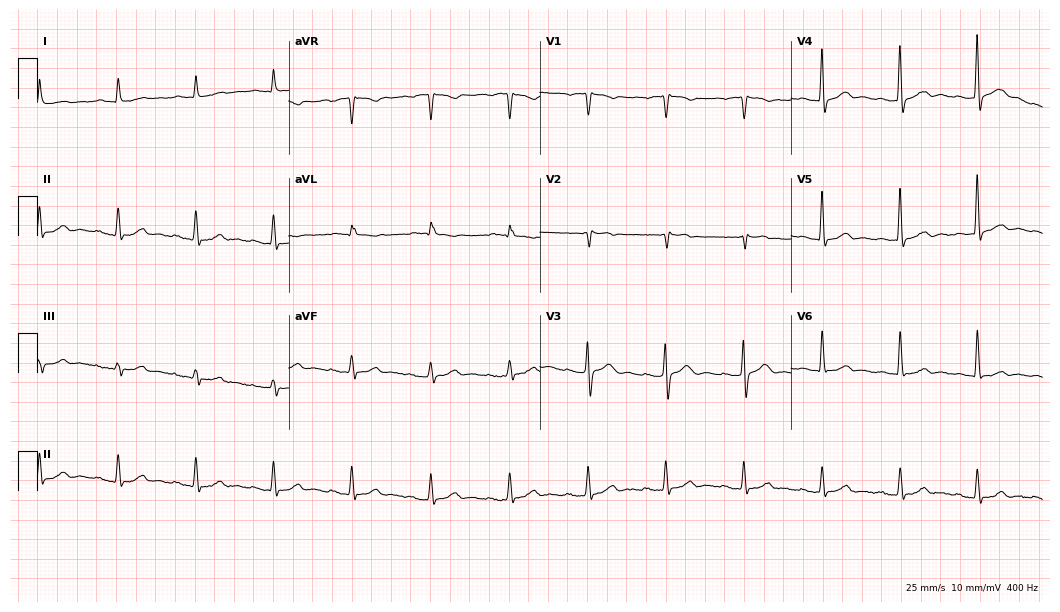
ECG (10.2-second recording at 400 Hz) — a 74-year-old man. Screened for six findings — first-degree AV block, right bundle branch block, left bundle branch block, sinus bradycardia, atrial fibrillation, sinus tachycardia — none is recorded. Findings outside these six are not listed.